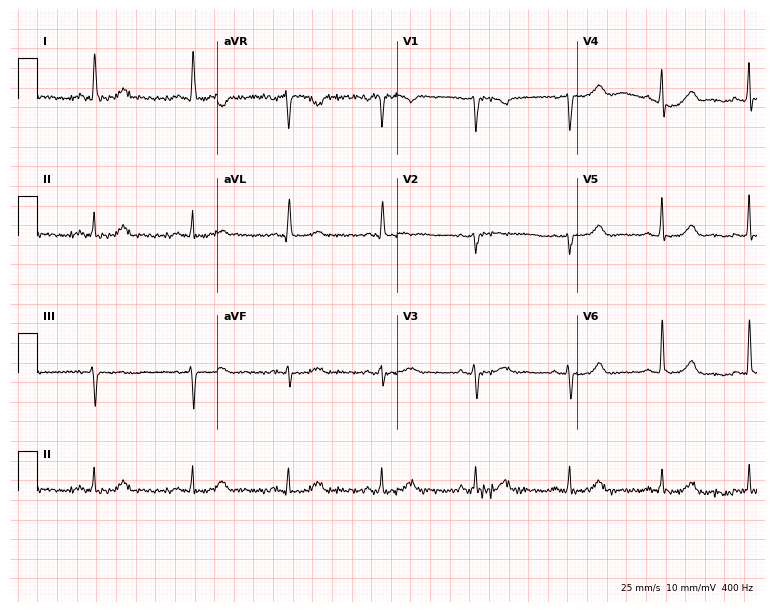
12-lead ECG from a man, 62 years old. Labelled as a normal ECG.